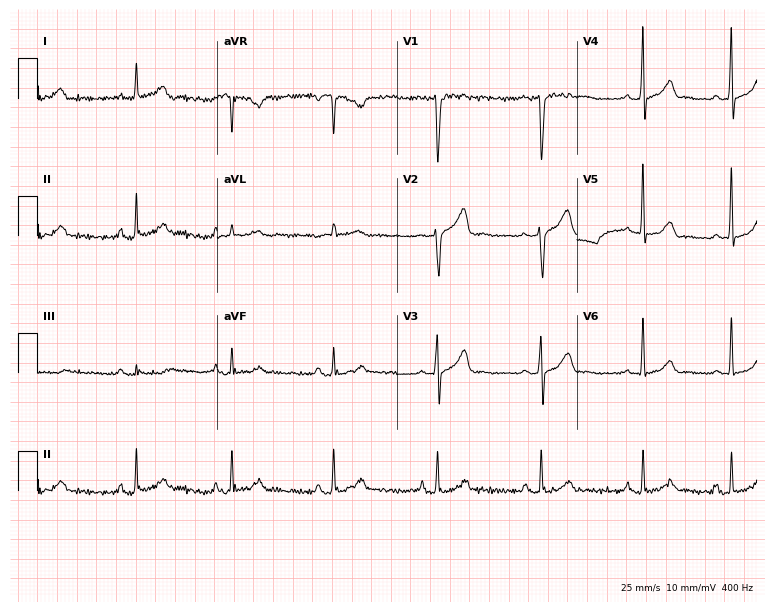
ECG (7.3-second recording at 400 Hz) — a male, 39 years old. Labelled as a normal ECG.